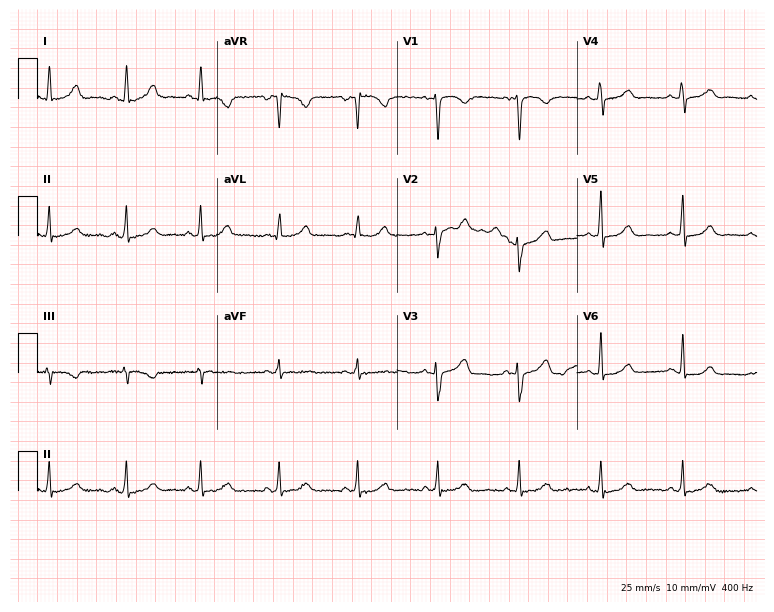
Resting 12-lead electrocardiogram (7.3-second recording at 400 Hz). Patient: a woman, 39 years old. None of these six findings is recorded: first-degree AV block, right bundle branch block (RBBB), left bundle branch block (LBBB), sinus bradycardia, atrial fibrillation (AF), sinus tachycardia.